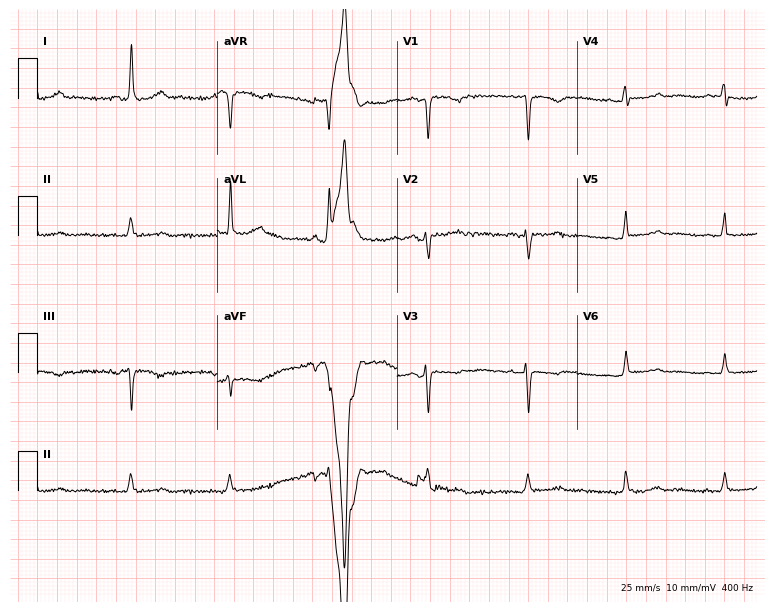
Resting 12-lead electrocardiogram. Patient: a 65-year-old female. None of these six findings is recorded: first-degree AV block, right bundle branch block (RBBB), left bundle branch block (LBBB), sinus bradycardia, atrial fibrillation (AF), sinus tachycardia. Findings outside these six are not listed.